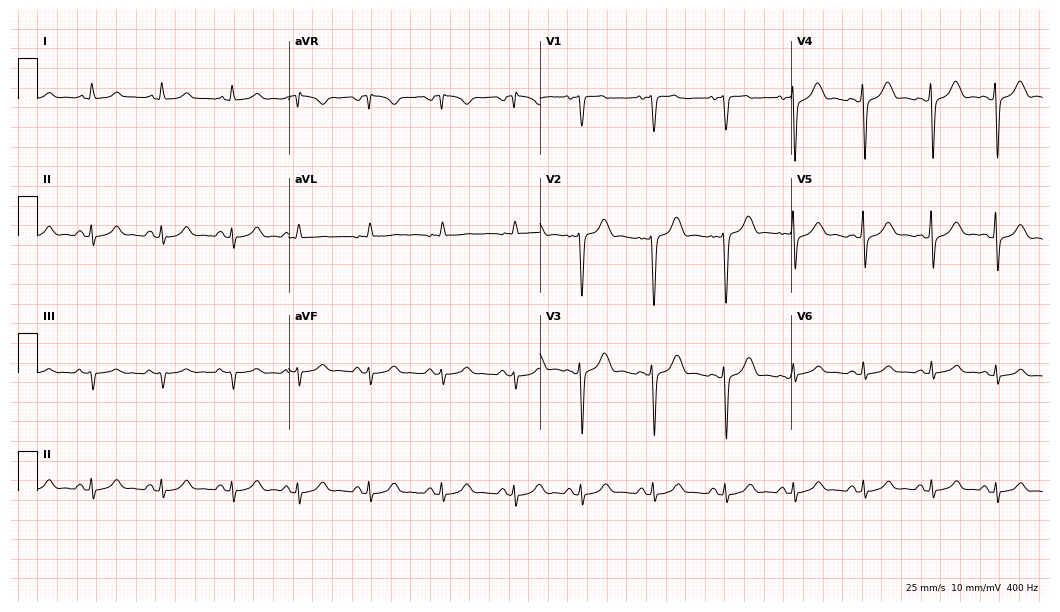
12-lead ECG from a woman, 21 years old. Labelled as a normal ECG.